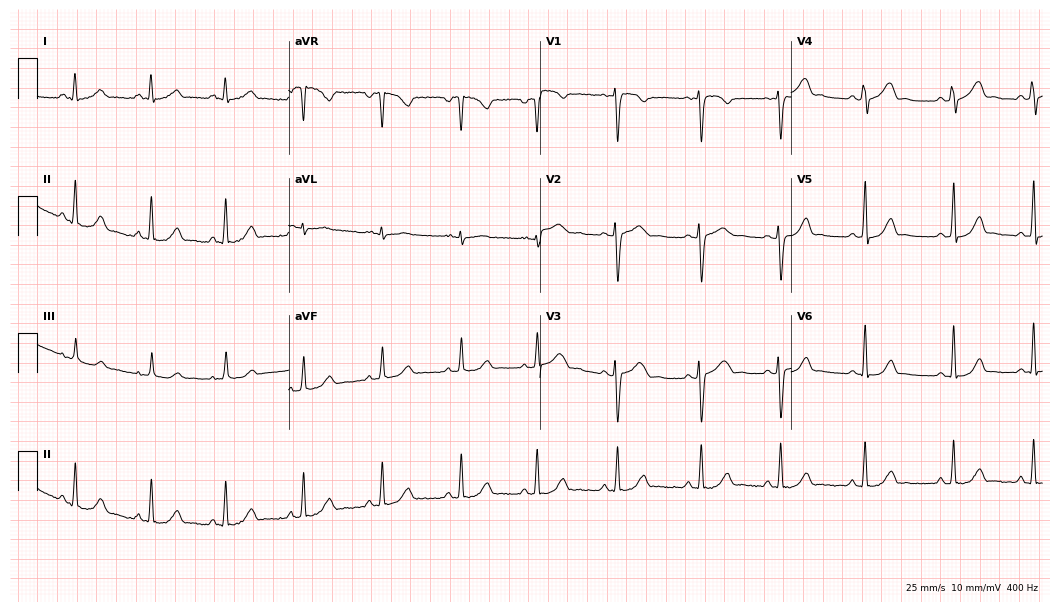
Electrocardiogram (10.2-second recording at 400 Hz), a 23-year-old female. Of the six screened findings (first-degree AV block, right bundle branch block, left bundle branch block, sinus bradycardia, atrial fibrillation, sinus tachycardia), none is recorded. Only these six findings were labelled.